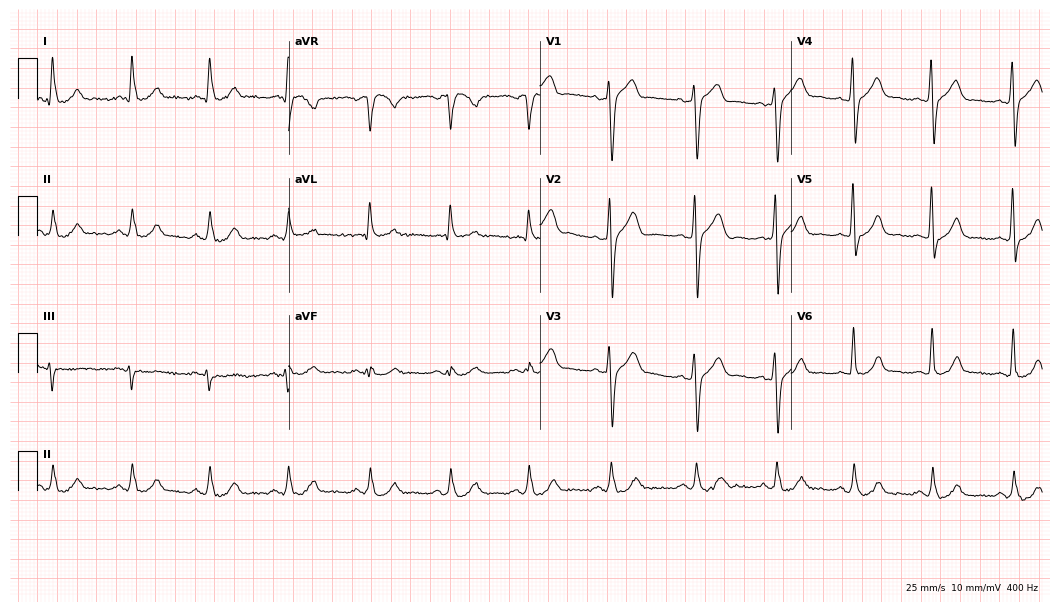
Electrocardiogram, a 68-year-old male patient. Overall reading on record: normal ECG.